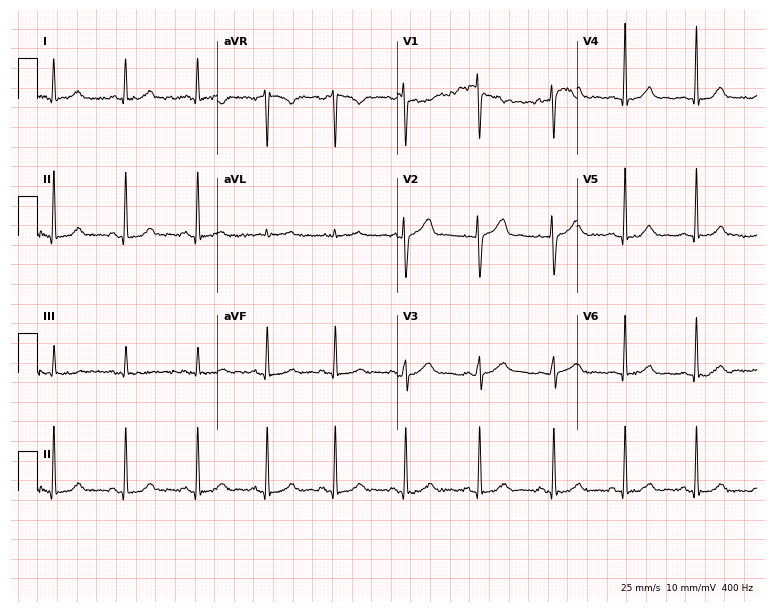
Electrocardiogram, a 45-year-old woman. Overall reading on record: normal ECG.